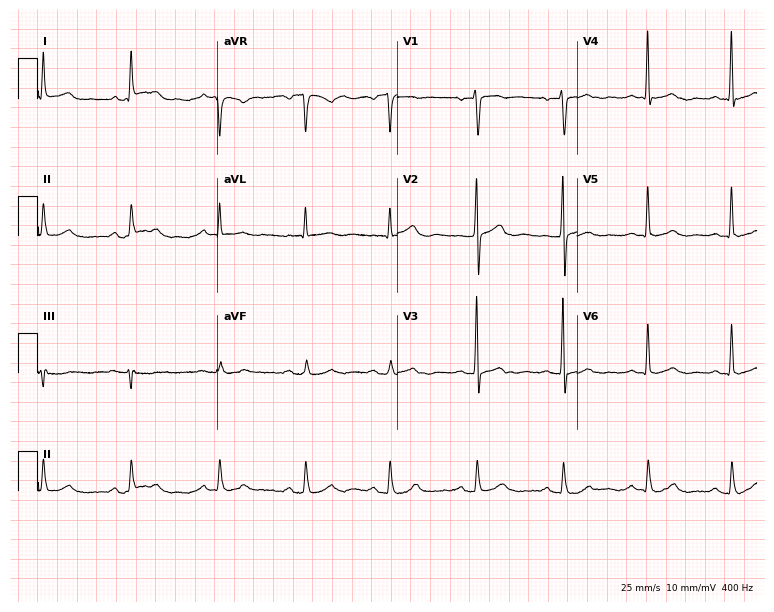
Standard 12-lead ECG recorded from a male patient, 56 years old. Read as a normal ECG.